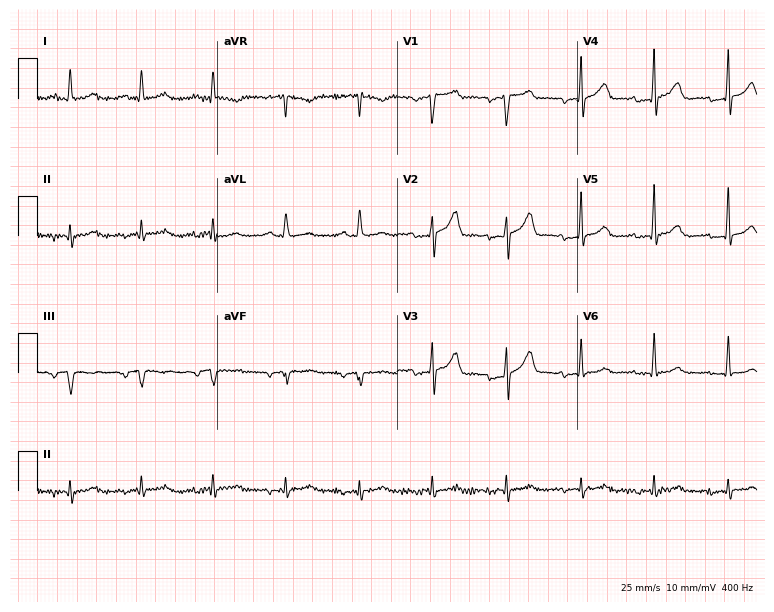
ECG (7.3-second recording at 400 Hz) — a man, 60 years old. Screened for six findings — first-degree AV block, right bundle branch block, left bundle branch block, sinus bradycardia, atrial fibrillation, sinus tachycardia — none is recorded.